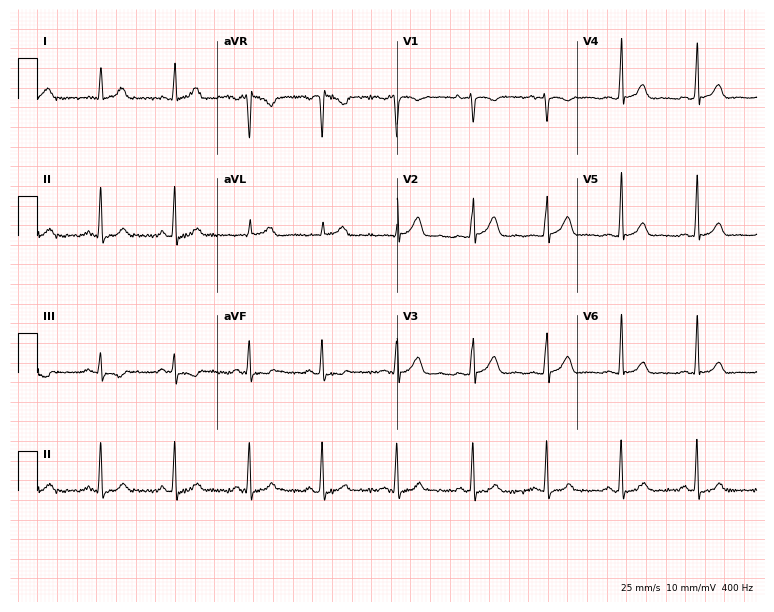
Resting 12-lead electrocardiogram (7.3-second recording at 400 Hz). Patient: a female, 32 years old. Read as a normal ECG.